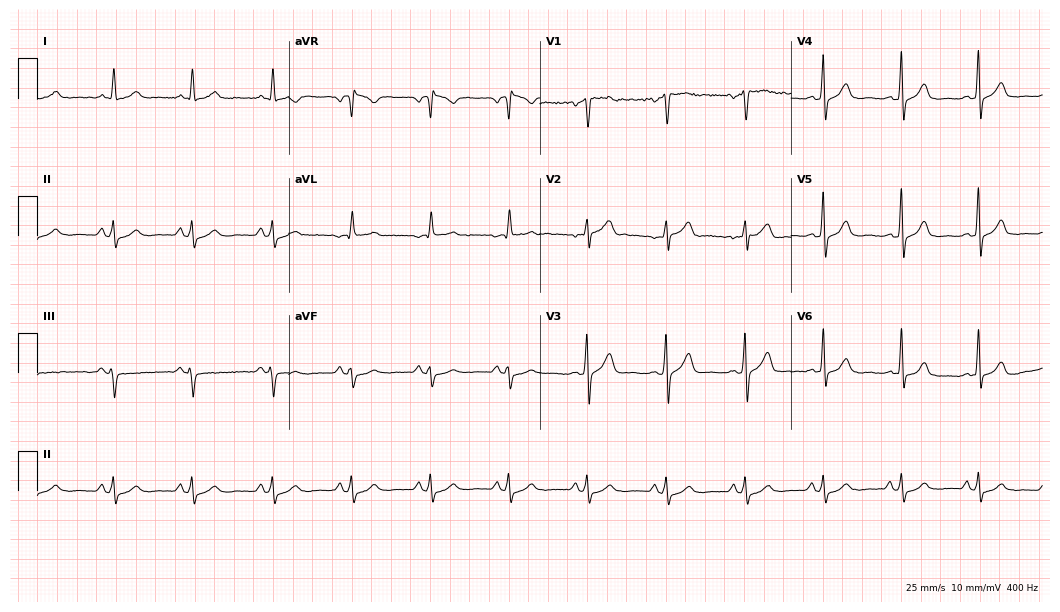
ECG — a man, 58 years old. Labelled as a normal ECG.